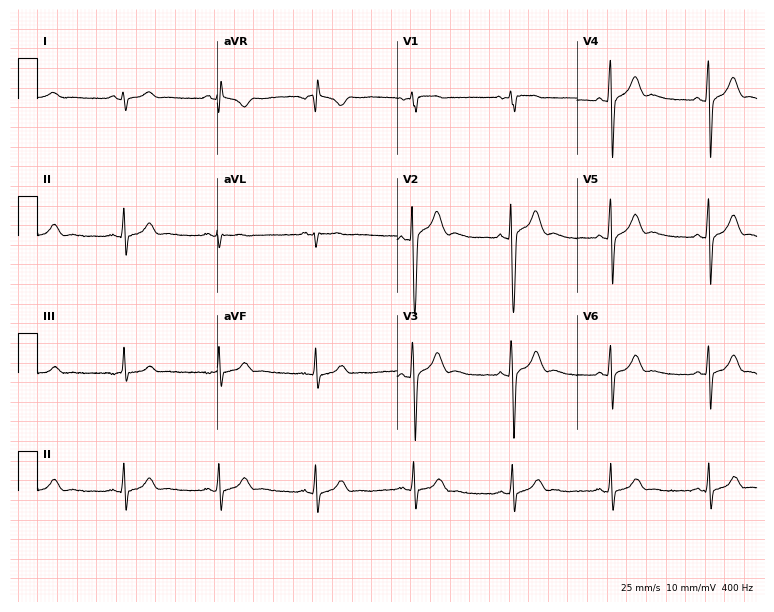
12-lead ECG (7.3-second recording at 400 Hz) from a 20-year-old woman. Screened for six findings — first-degree AV block, right bundle branch block (RBBB), left bundle branch block (LBBB), sinus bradycardia, atrial fibrillation (AF), sinus tachycardia — none is recorded.